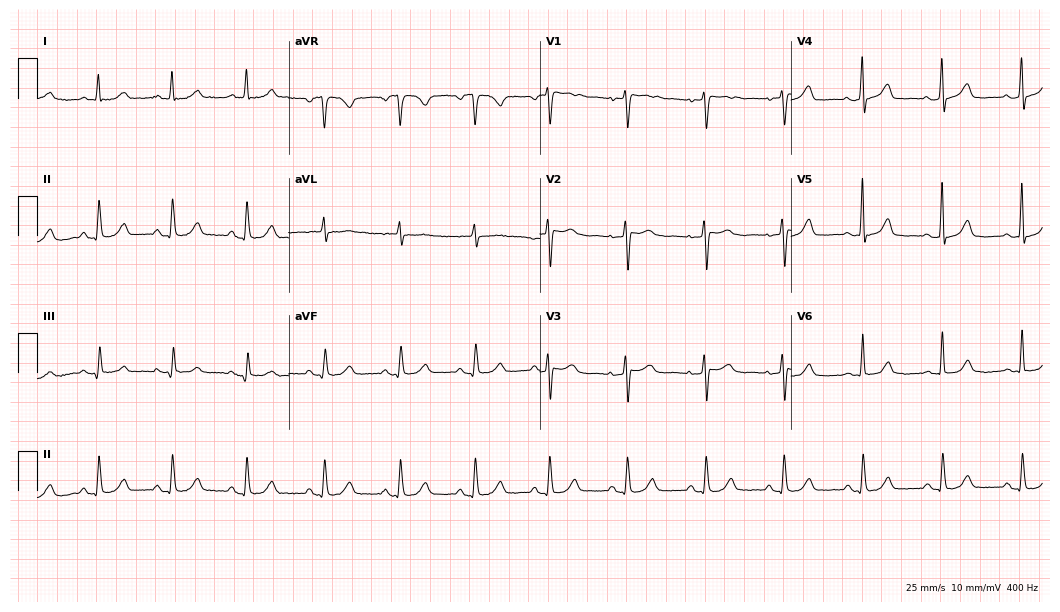
Standard 12-lead ECG recorded from a woman, 67 years old (10.2-second recording at 400 Hz). Read as a normal ECG.